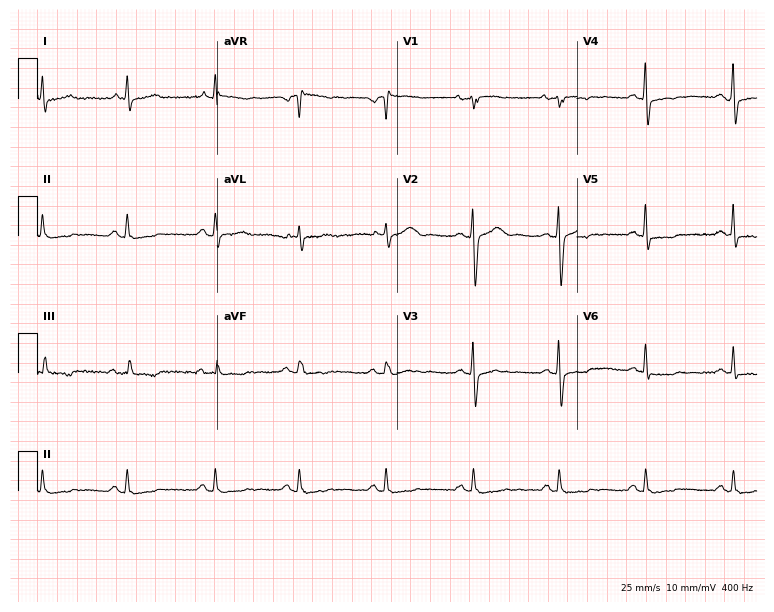
ECG (7.3-second recording at 400 Hz) — a 50-year-old male. Screened for six findings — first-degree AV block, right bundle branch block, left bundle branch block, sinus bradycardia, atrial fibrillation, sinus tachycardia — none is recorded.